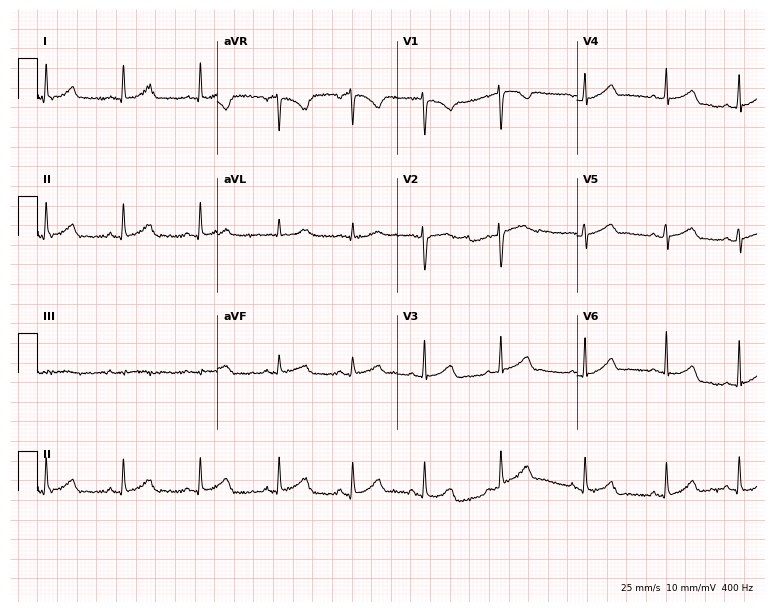
12-lead ECG from a woman, 22 years old. Labelled as a normal ECG.